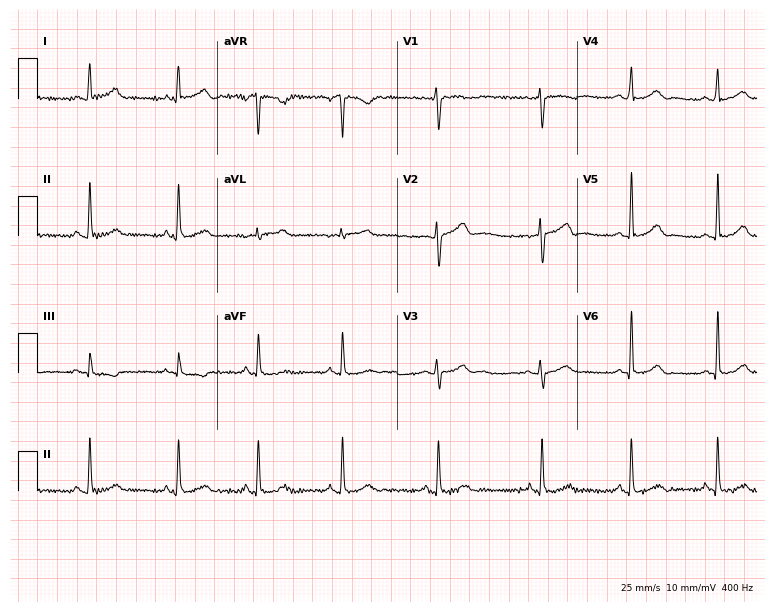
12-lead ECG from a female patient, 39 years old. Labelled as a normal ECG.